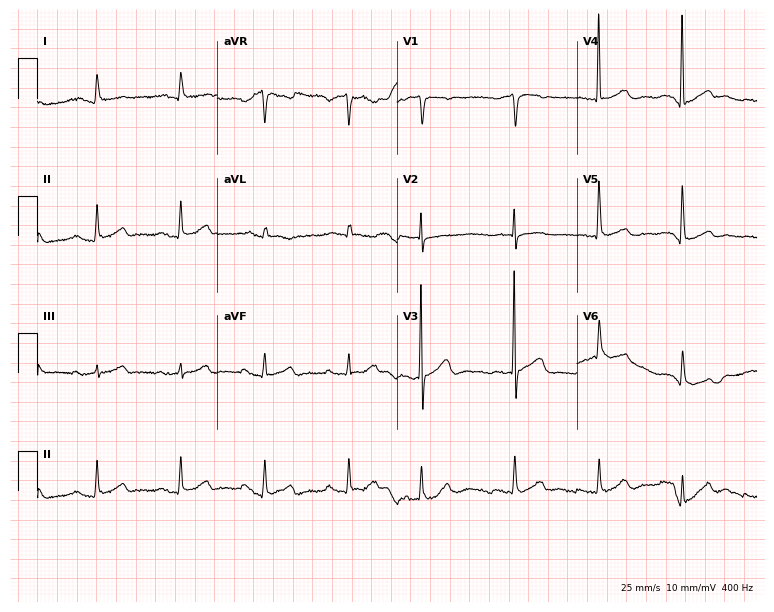
12-lead ECG (7.3-second recording at 400 Hz) from a 65-year-old male patient. Screened for six findings — first-degree AV block, right bundle branch block (RBBB), left bundle branch block (LBBB), sinus bradycardia, atrial fibrillation (AF), sinus tachycardia — none is recorded.